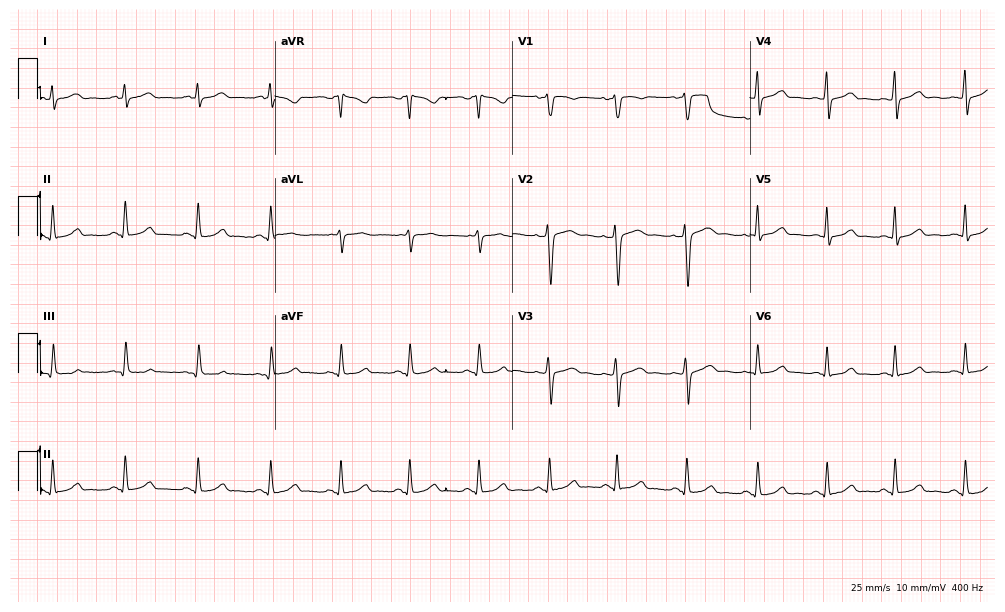
Electrocardiogram (9.7-second recording at 400 Hz), a 29-year-old woman. Of the six screened findings (first-degree AV block, right bundle branch block, left bundle branch block, sinus bradycardia, atrial fibrillation, sinus tachycardia), none is recorded.